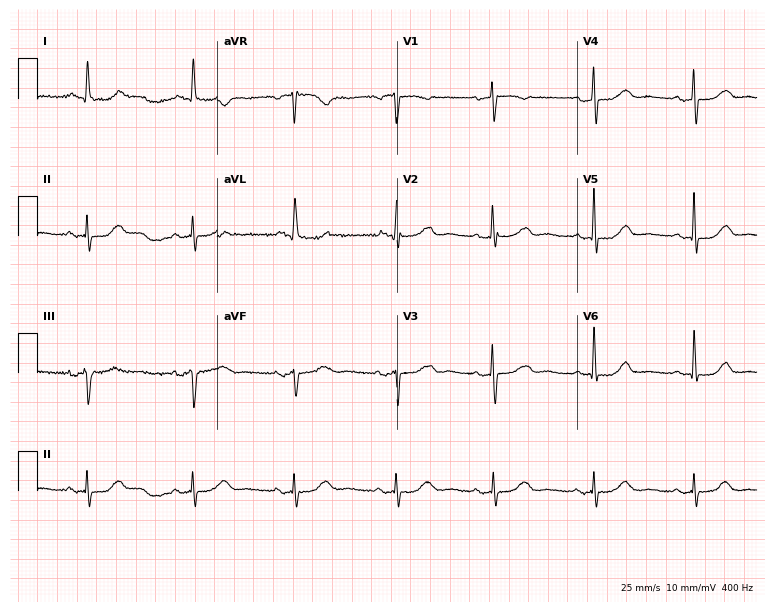
ECG (7.3-second recording at 400 Hz) — a female patient, 76 years old. Screened for six findings — first-degree AV block, right bundle branch block (RBBB), left bundle branch block (LBBB), sinus bradycardia, atrial fibrillation (AF), sinus tachycardia — none is recorded. Other findings, if any, are not listed.